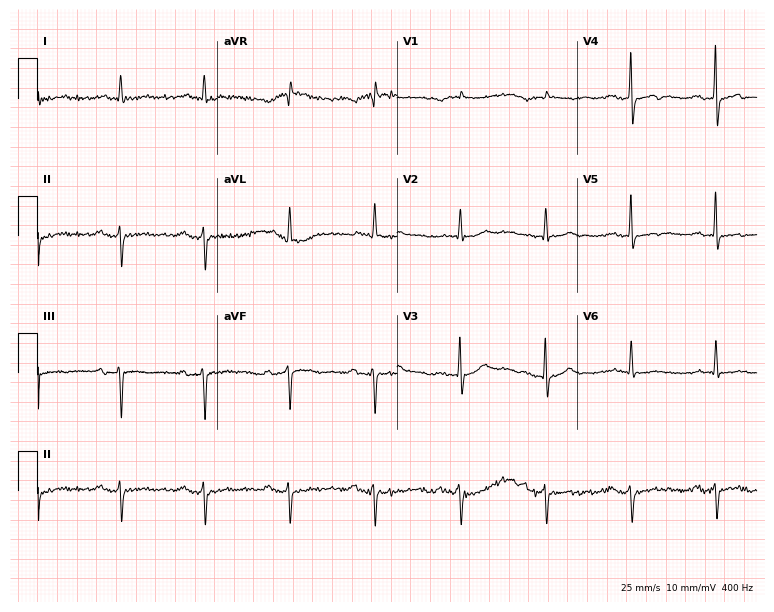
Standard 12-lead ECG recorded from a male patient, 81 years old. None of these six findings is recorded: first-degree AV block, right bundle branch block, left bundle branch block, sinus bradycardia, atrial fibrillation, sinus tachycardia.